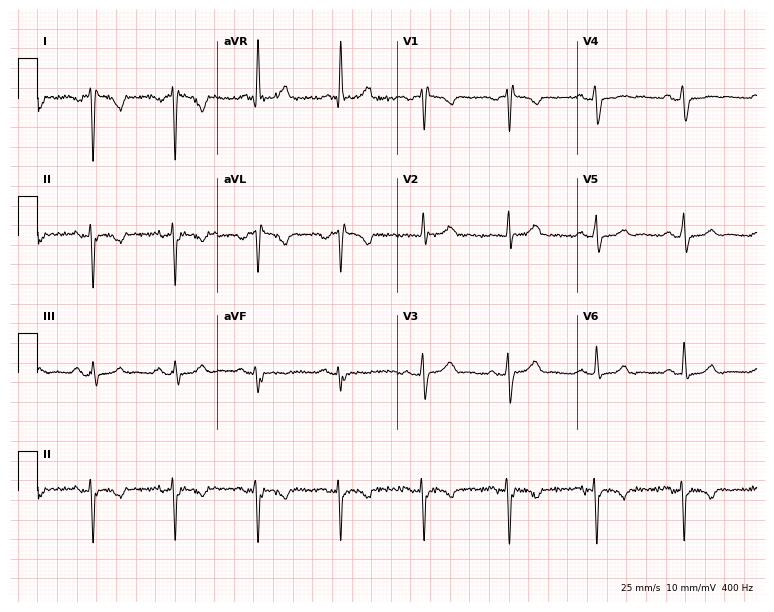
Electrocardiogram (7.3-second recording at 400 Hz), a 74-year-old female. Of the six screened findings (first-degree AV block, right bundle branch block (RBBB), left bundle branch block (LBBB), sinus bradycardia, atrial fibrillation (AF), sinus tachycardia), none is recorded. Other findings, if any, are not listed.